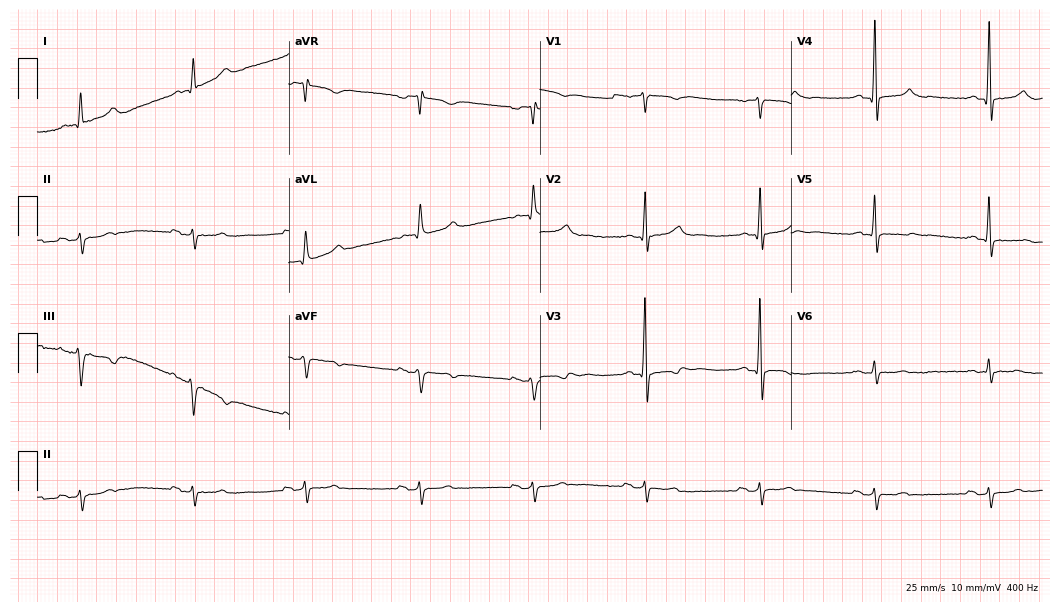
Resting 12-lead electrocardiogram. Patient: a male, 73 years old. None of these six findings is recorded: first-degree AV block, right bundle branch block, left bundle branch block, sinus bradycardia, atrial fibrillation, sinus tachycardia.